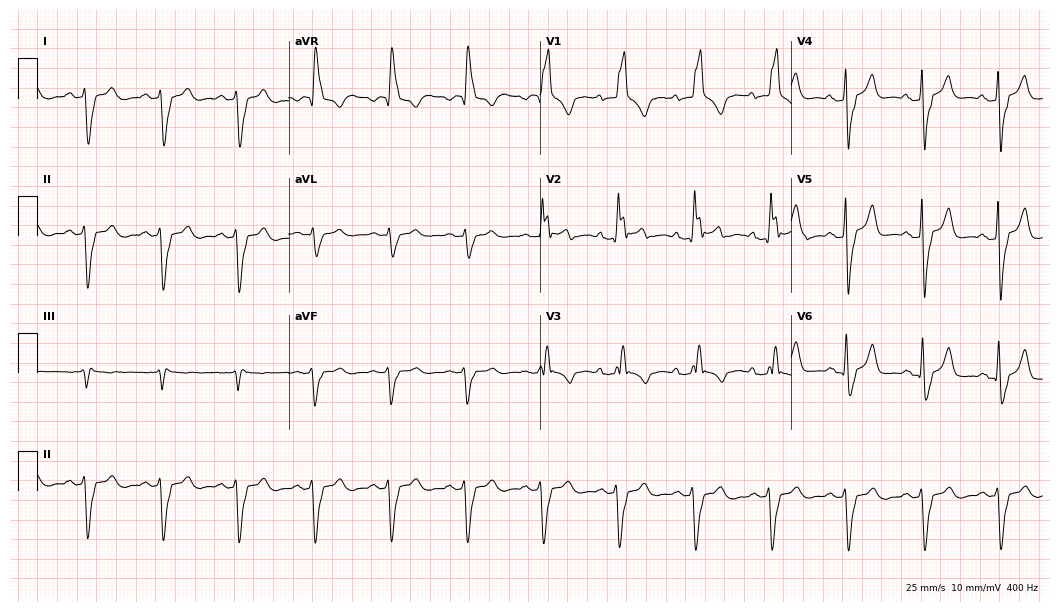
12-lead ECG (10.2-second recording at 400 Hz) from a male, 54 years old. Findings include right bundle branch block (RBBB).